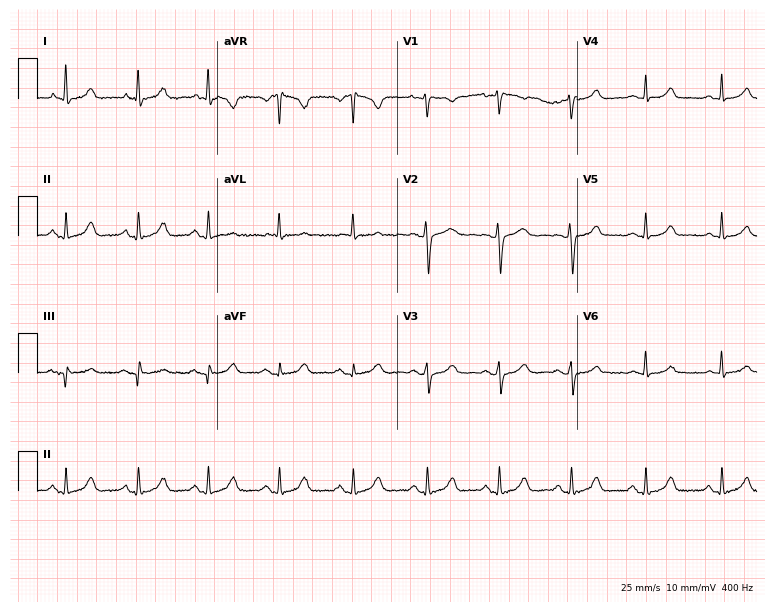
Resting 12-lead electrocardiogram (7.3-second recording at 400 Hz). Patient: a female, 51 years old. Read as a normal ECG.